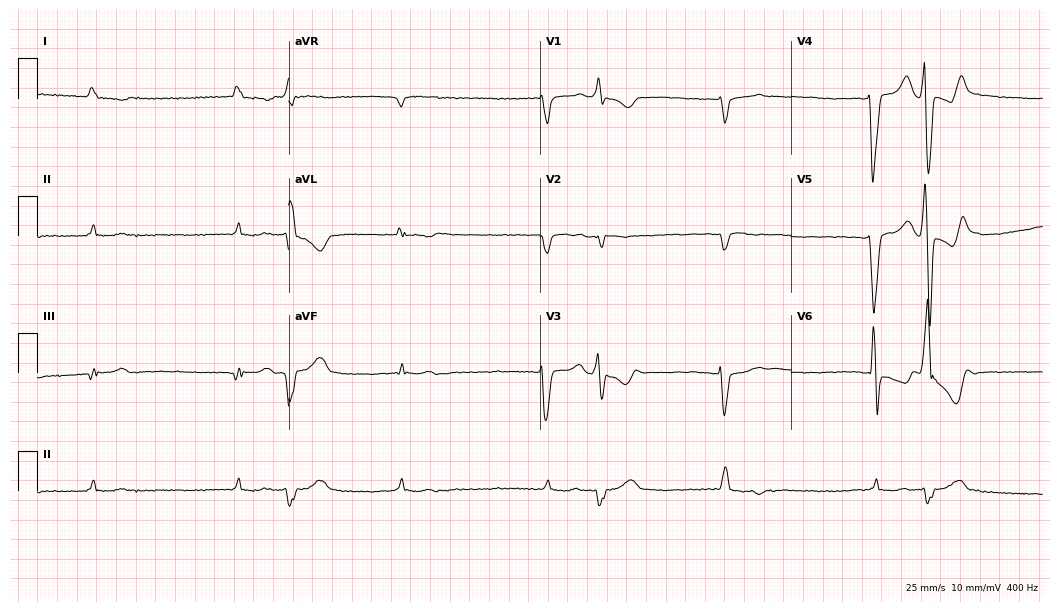
12-lead ECG (10.2-second recording at 400 Hz) from an 80-year-old male. Screened for six findings — first-degree AV block, right bundle branch block, left bundle branch block, sinus bradycardia, atrial fibrillation, sinus tachycardia — none is recorded.